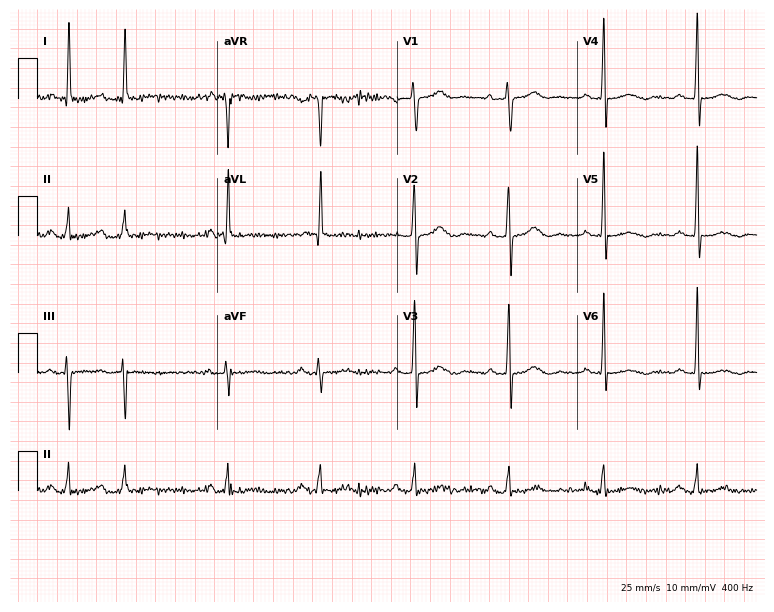
12-lead ECG from a 70-year-old woman. Screened for six findings — first-degree AV block, right bundle branch block, left bundle branch block, sinus bradycardia, atrial fibrillation, sinus tachycardia — none is recorded. Findings outside these six are not listed.